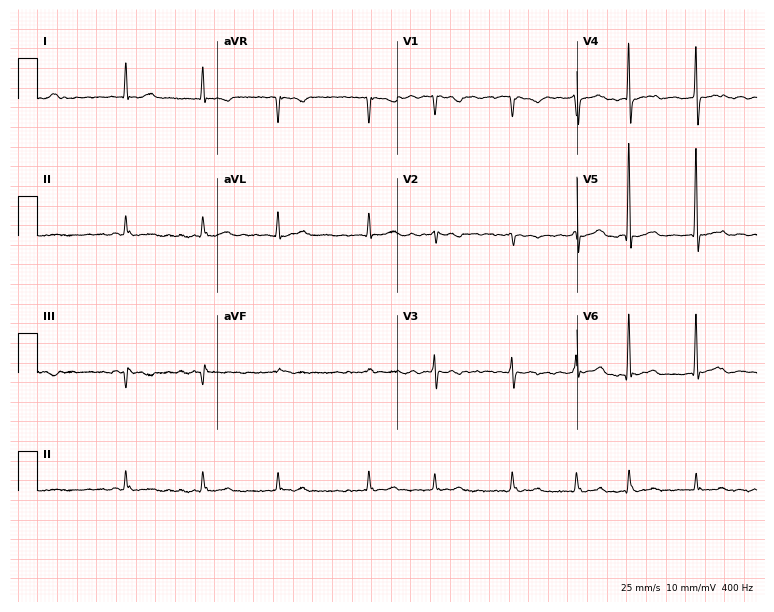
Electrocardiogram, a 77-year-old woman. Interpretation includes atrial fibrillation.